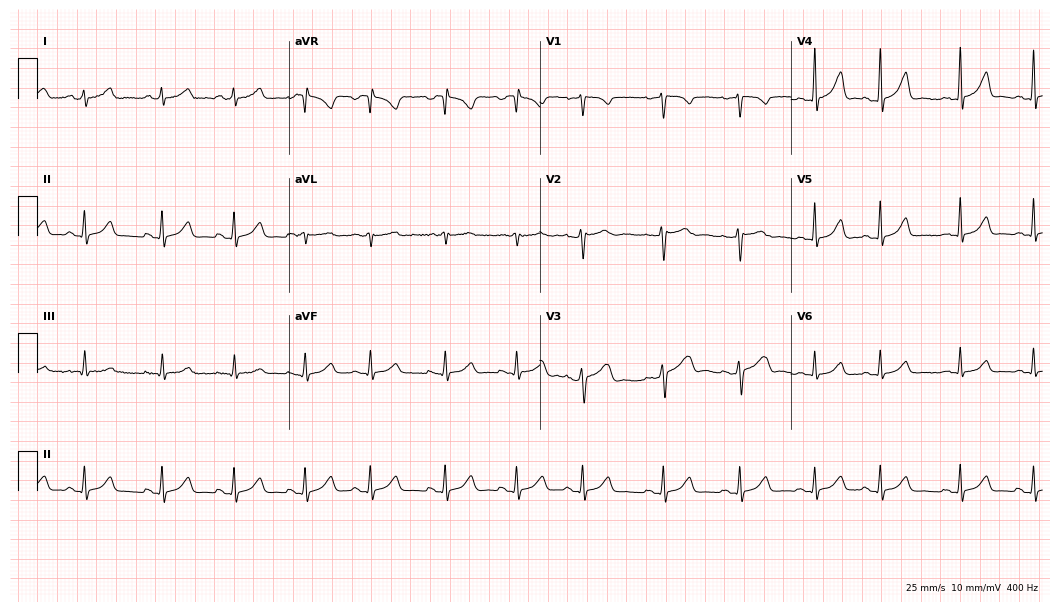
Resting 12-lead electrocardiogram. Patient: a female, 36 years old. None of these six findings is recorded: first-degree AV block, right bundle branch block, left bundle branch block, sinus bradycardia, atrial fibrillation, sinus tachycardia.